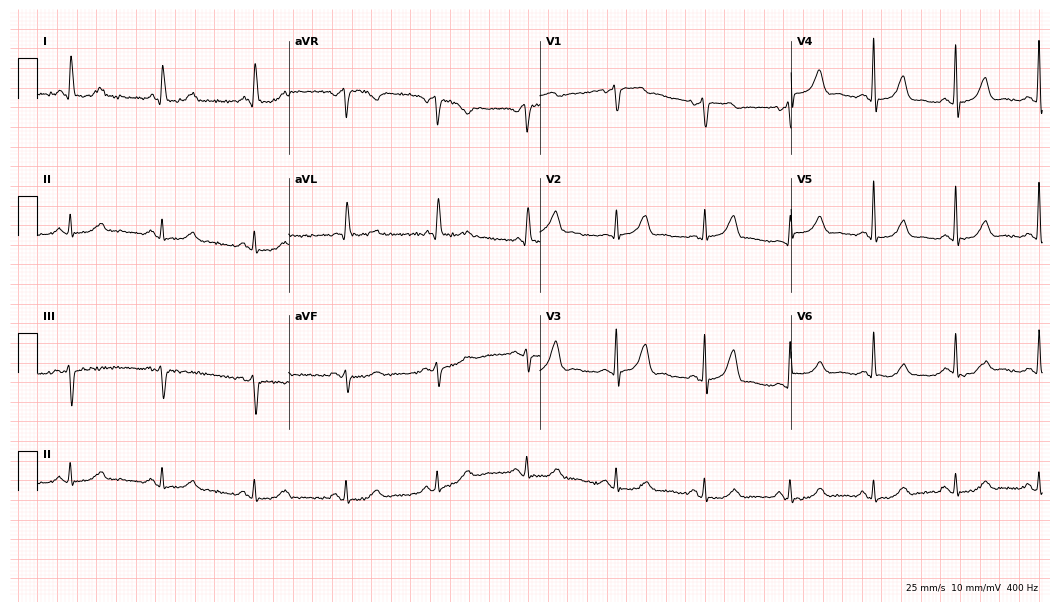
Standard 12-lead ECG recorded from a man, 76 years old. Read as a normal ECG.